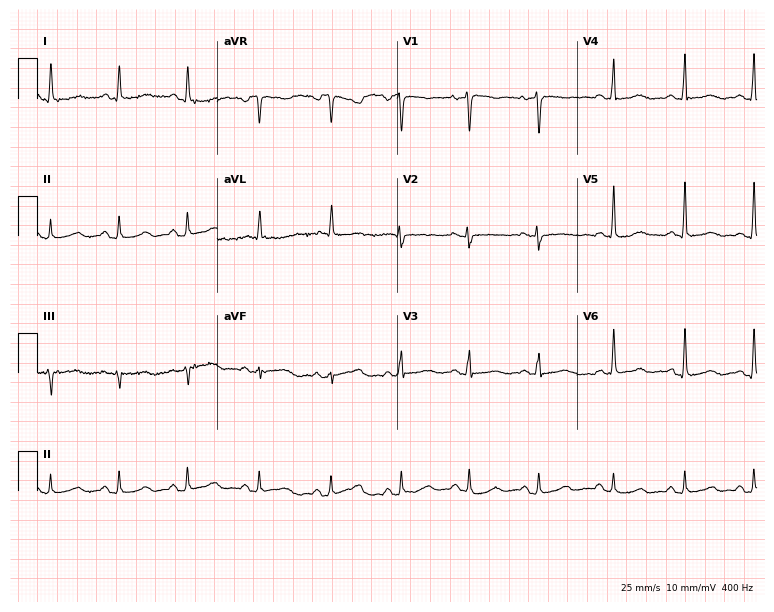
12-lead ECG from a woman, 56 years old. Screened for six findings — first-degree AV block, right bundle branch block (RBBB), left bundle branch block (LBBB), sinus bradycardia, atrial fibrillation (AF), sinus tachycardia — none is recorded.